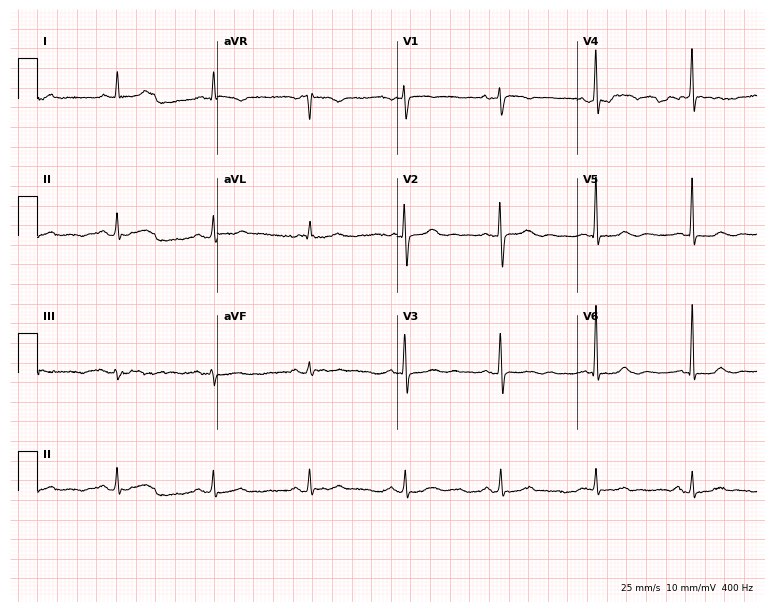
ECG (7.3-second recording at 400 Hz) — an 84-year-old female patient. Labelled as a normal ECG.